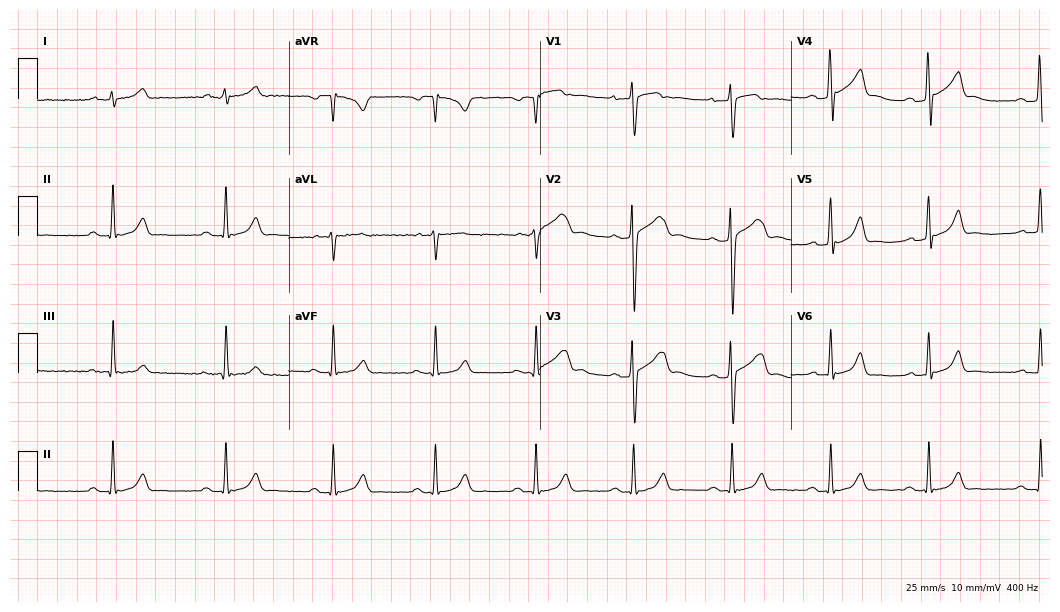
Standard 12-lead ECG recorded from a male, 26 years old (10.2-second recording at 400 Hz). Read as a normal ECG.